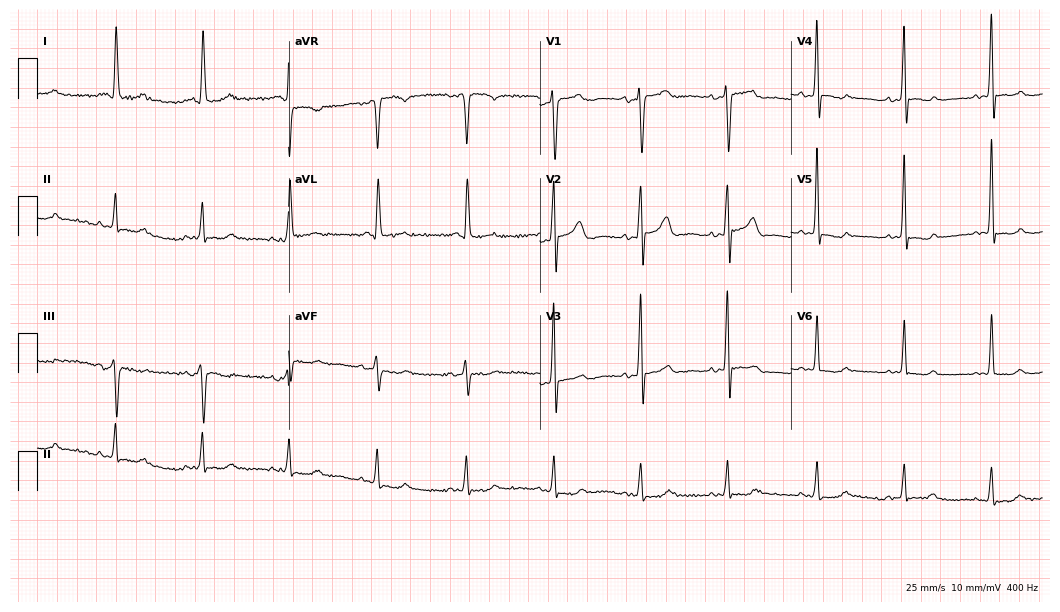
12-lead ECG from a 78-year-old woman. No first-degree AV block, right bundle branch block, left bundle branch block, sinus bradycardia, atrial fibrillation or sinus tachycardia recorded for this tracing. Findings outside these six are not listed.